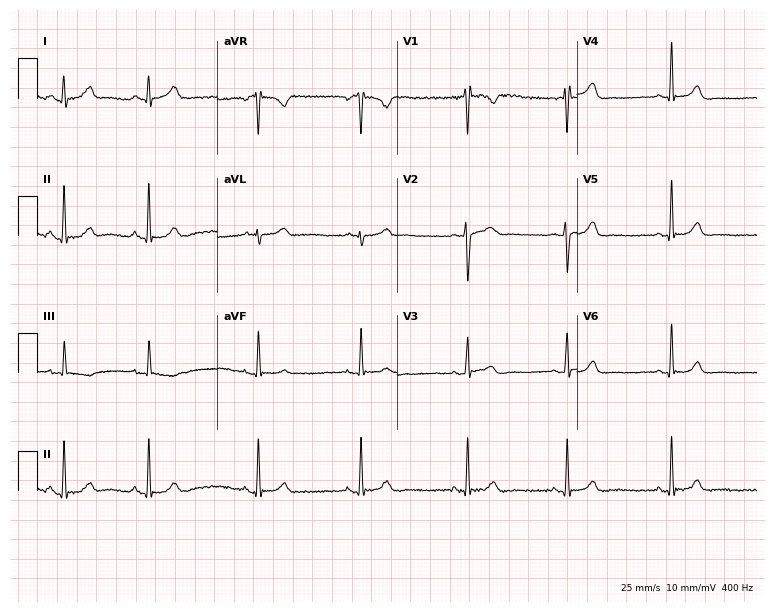
Standard 12-lead ECG recorded from a 24-year-old female patient. Read as a normal ECG.